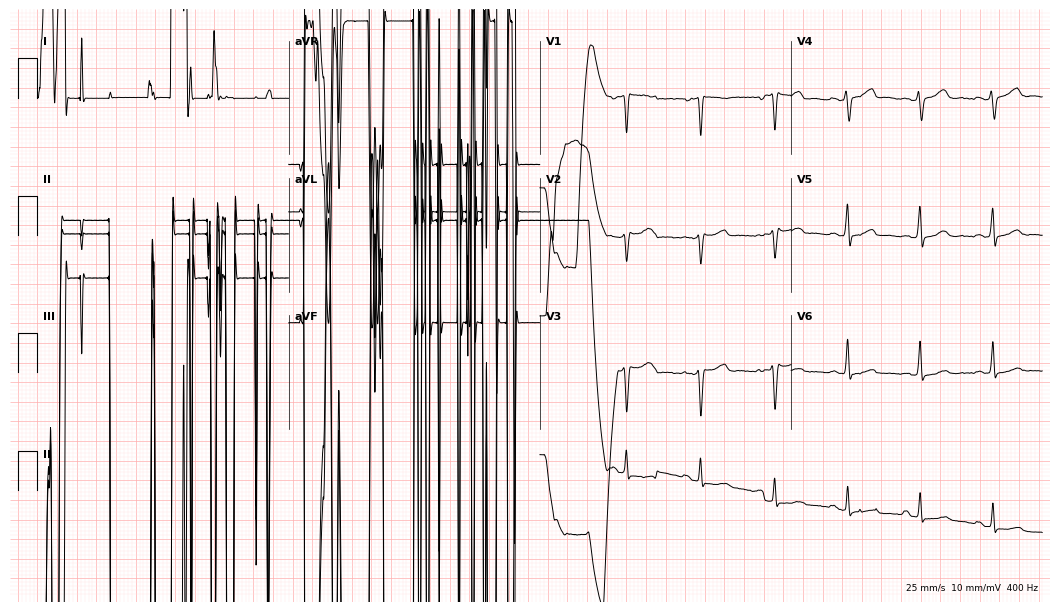
ECG (10.2-second recording at 400 Hz) — a female, 43 years old. Screened for six findings — first-degree AV block, right bundle branch block, left bundle branch block, sinus bradycardia, atrial fibrillation, sinus tachycardia — none is recorded. Other findings, if any, are not listed.